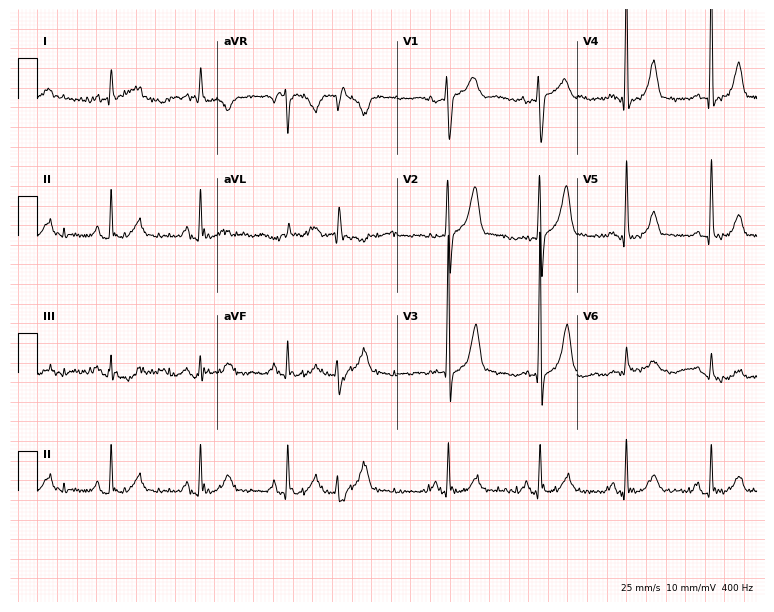
Standard 12-lead ECG recorded from a female, 84 years old (7.3-second recording at 400 Hz). None of these six findings is recorded: first-degree AV block, right bundle branch block, left bundle branch block, sinus bradycardia, atrial fibrillation, sinus tachycardia.